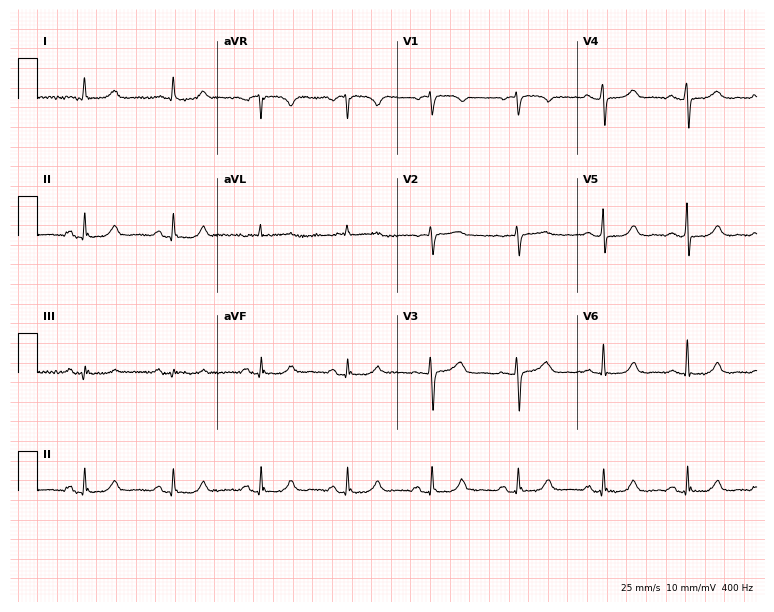
ECG (7.3-second recording at 400 Hz) — a female patient, 77 years old. Labelled as a normal ECG.